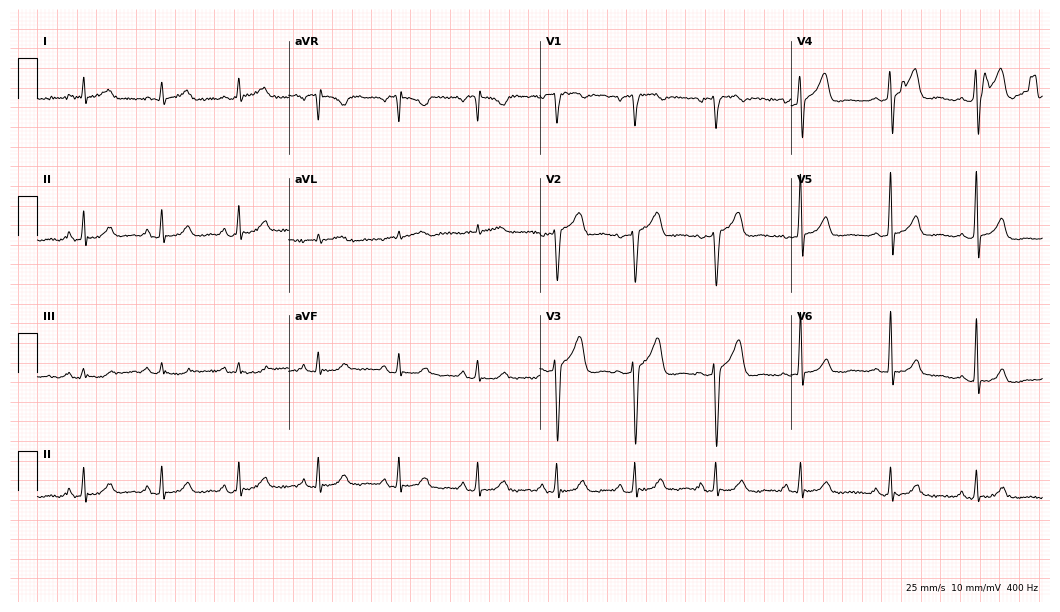
Resting 12-lead electrocardiogram (10.2-second recording at 400 Hz). Patient: a man, 47 years old. Read as a normal ECG.